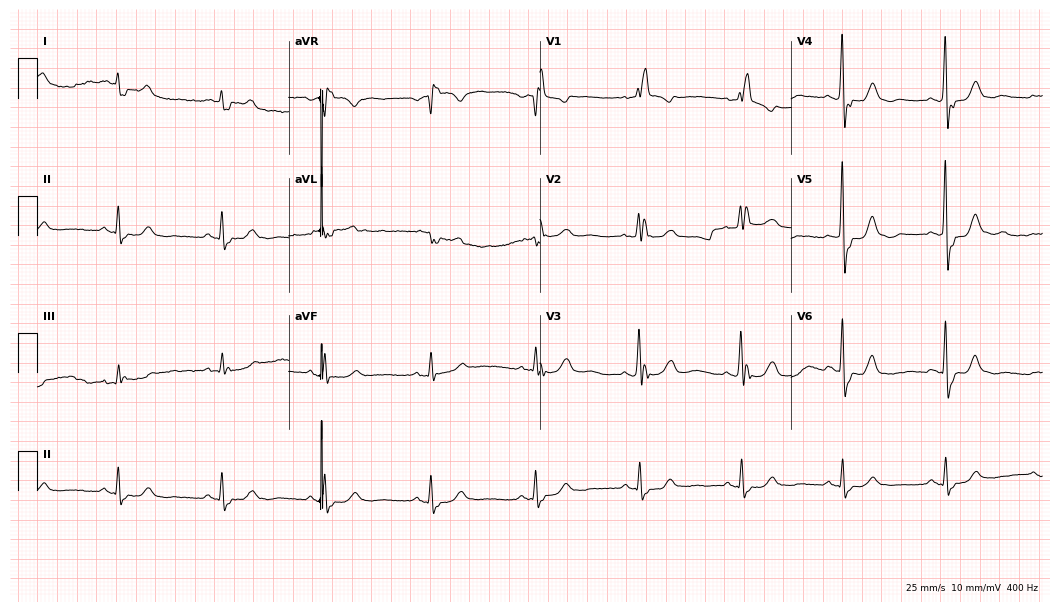
12-lead ECG from an 80-year-old male. Shows right bundle branch block.